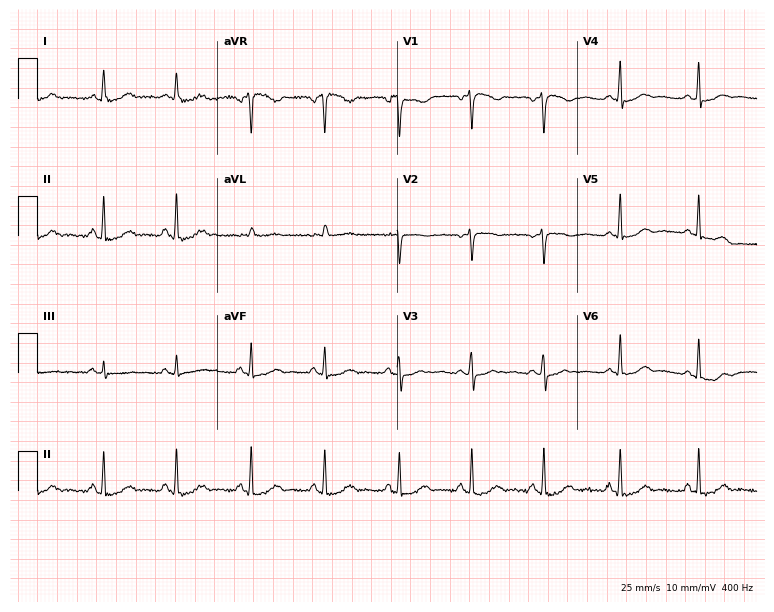
Electrocardiogram, a female patient, 53 years old. Overall reading on record: normal ECG.